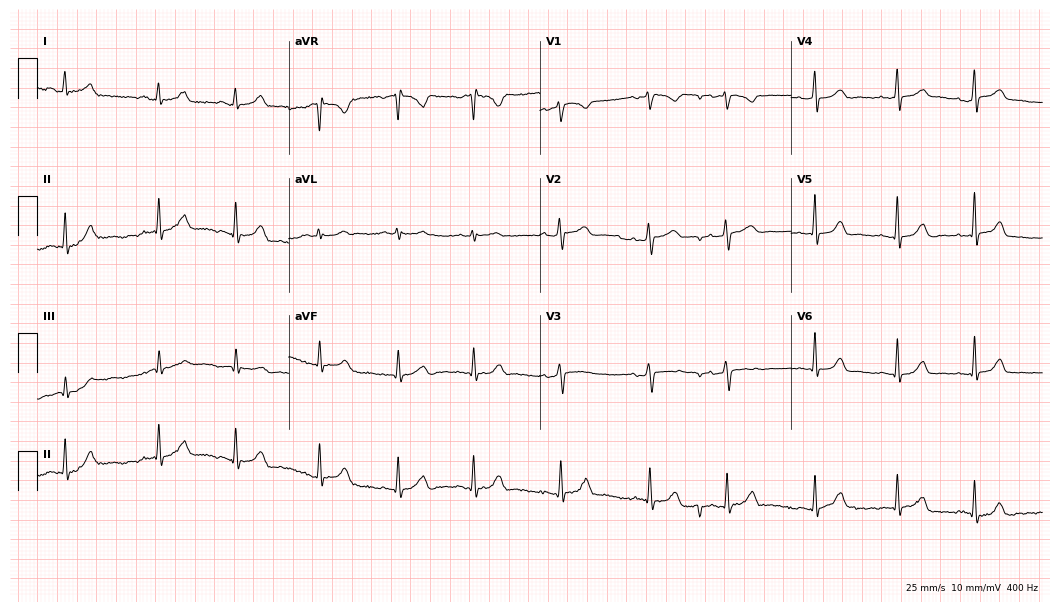
Standard 12-lead ECG recorded from a female, 25 years old (10.2-second recording at 400 Hz). Read as a normal ECG.